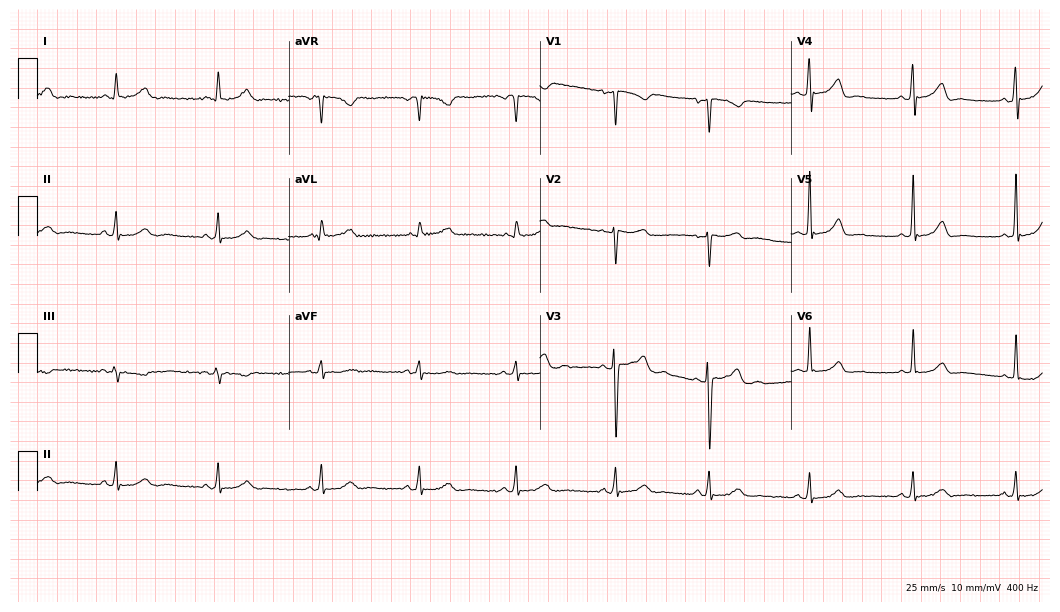
Resting 12-lead electrocardiogram. Patient: a 37-year-old male. None of these six findings is recorded: first-degree AV block, right bundle branch block (RBBB), left bundle branch block (LBBB), sinus bradycardia, atrial fibrillation (AF), sinus tachycardia.